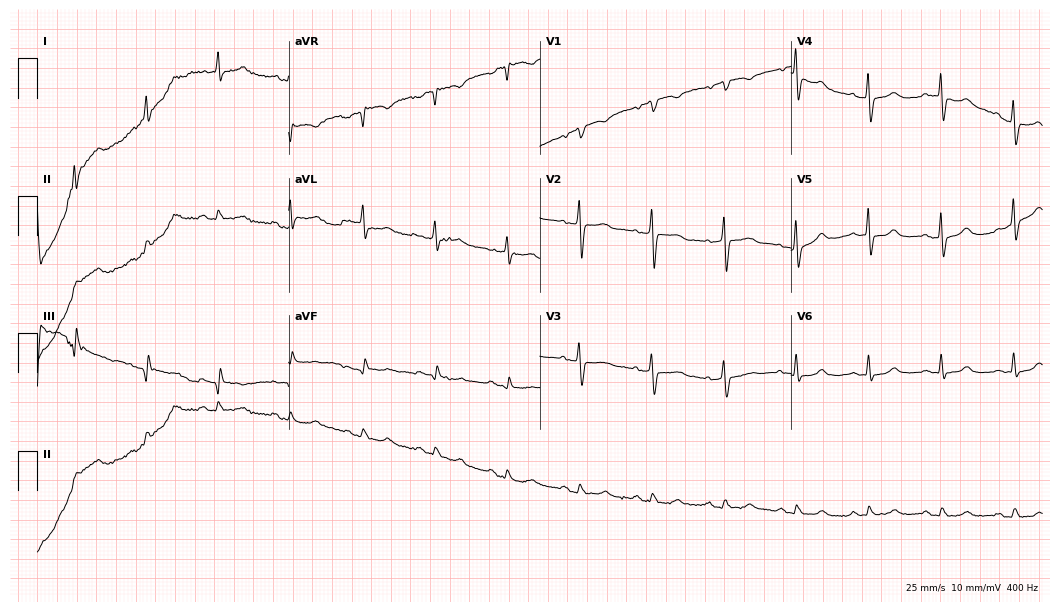
ECG — a 76-year-old female patient. Screened for six findings — first-degree AV block, right bundle branch block, left bundle branch block, sinus bradycardia, atrial fibrillation, sinus tachycardia — none is recorded.